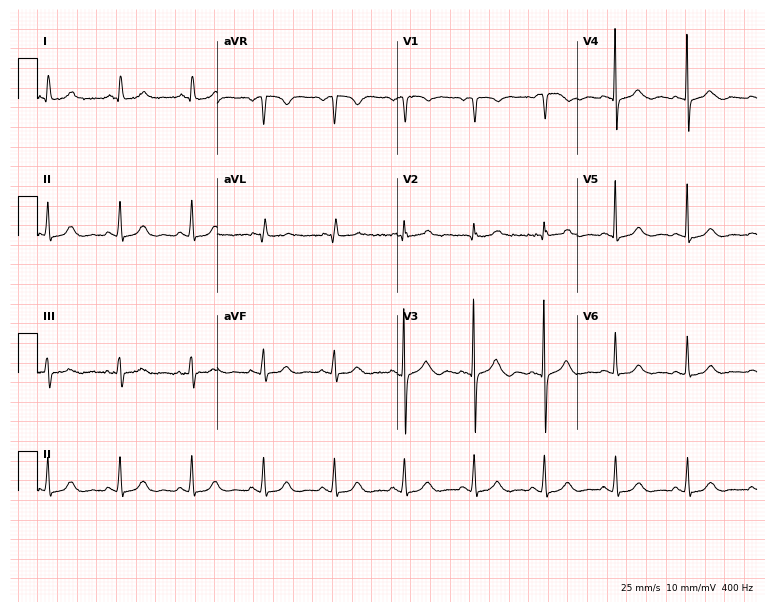
Standard 12-lead ECG recorded from a female patient, 78 years old. Read as a normal ECG.